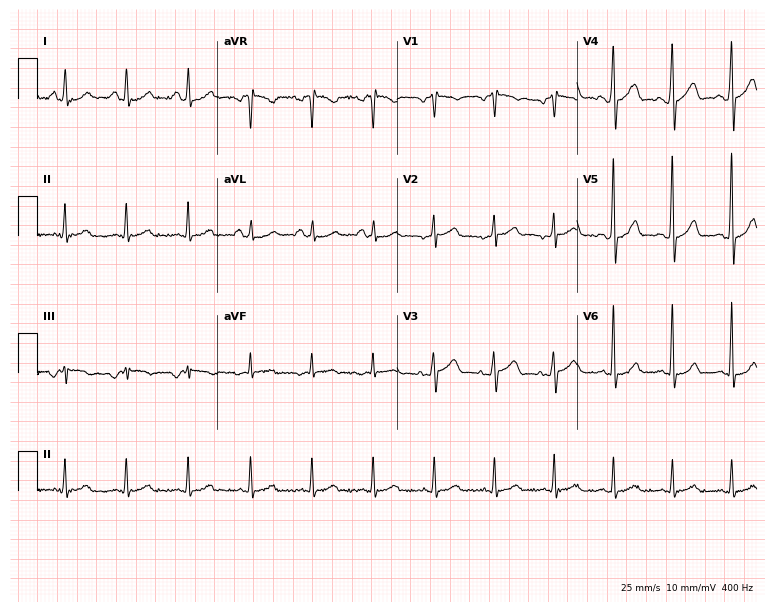
ECG — a 58-year-old man. Labelled as a normal ECG.